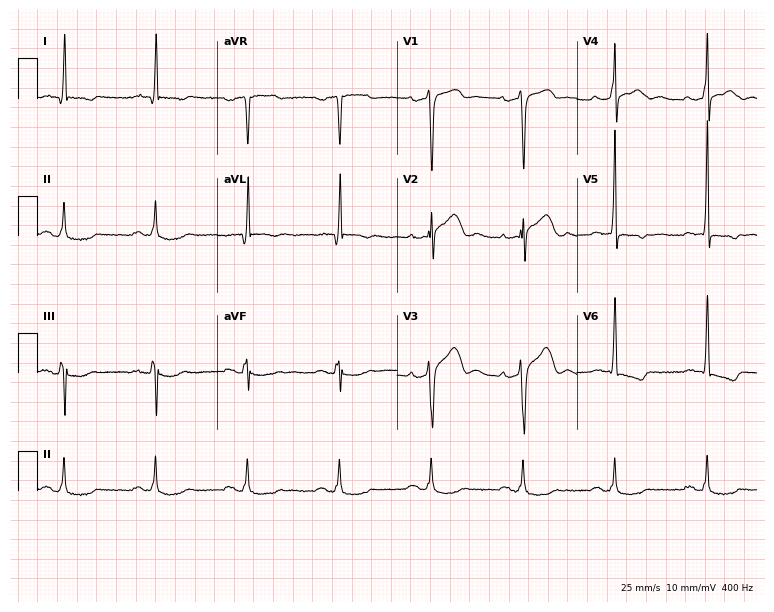
12-lead ECG from a man, 58 years old (7.3-second recording at 400 Hz). No first-degree AV block, right bundle branch block, left bundle branch block, sinus bradycardia, atrial fibrillation or sinus tachycardia recorded for this tracing. Findings outside these six are not listed.